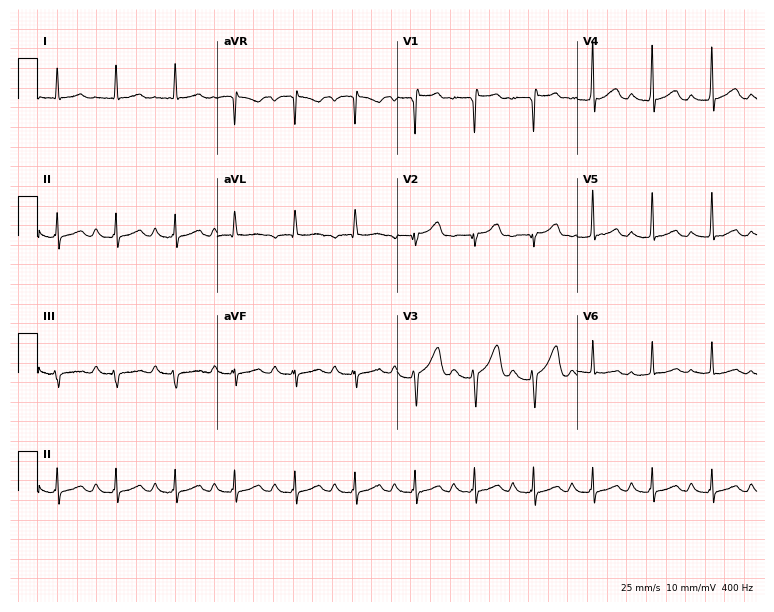
12-lead ECG from a 77-year-old male (7.3-second recording at 400 Hz). Shows first-degree AV block.